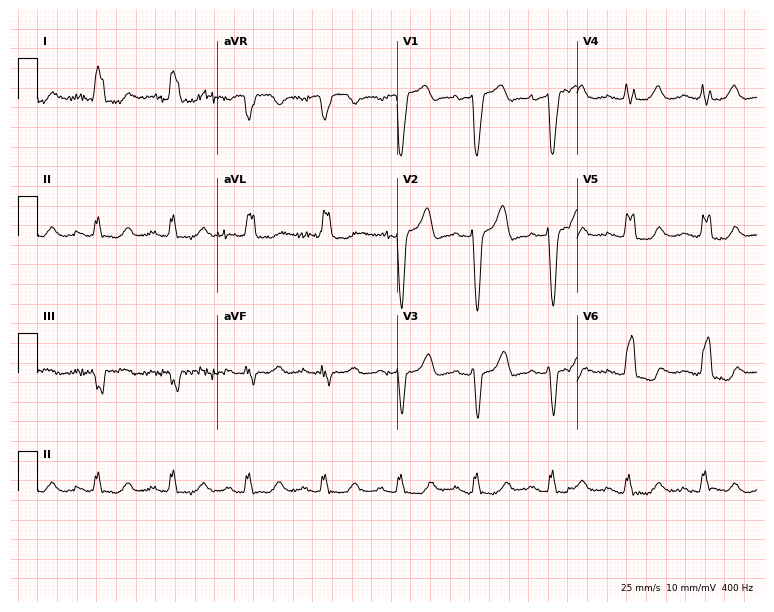
12-lead ECG from a 79-year-old female patient (7.3-second recording at 400 Hz). Shows left bundle branch block (LBBB).